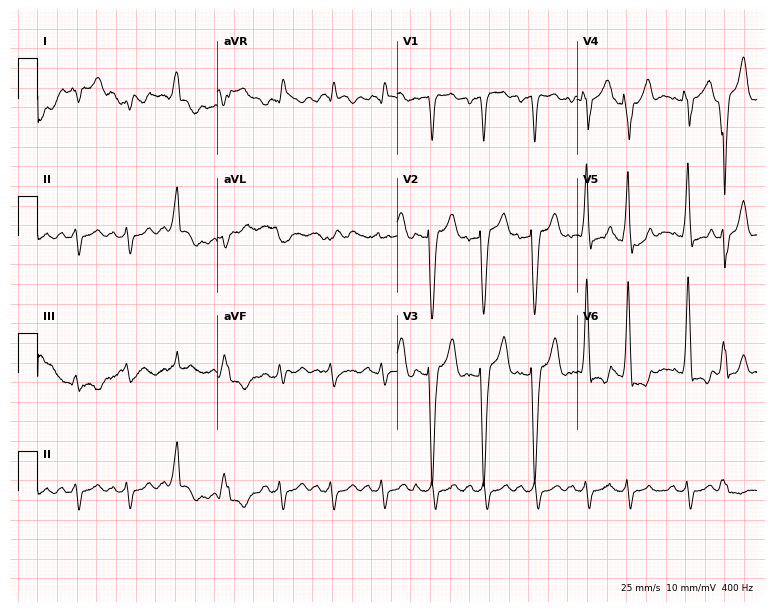
12-lead ECG (7.3-second recording at 400 Hz) from a man, 79 years old. Findings include atrial fibrillation.